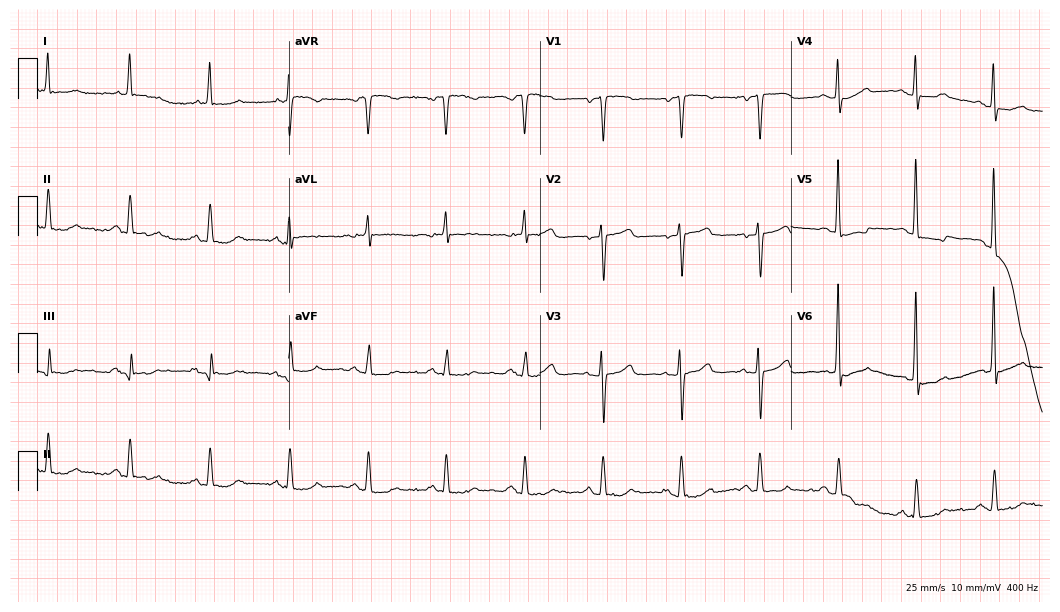
12-lead ECG from an 86-year-old female patient (10.2-second recording at 400 Hz). No first-degree AV block, right bundle branch block, left bundle branch block, sinus bradycardia, atrial fibrillation or sinus tachycardia recorded for this tracing. Findings outside these six are not listed.